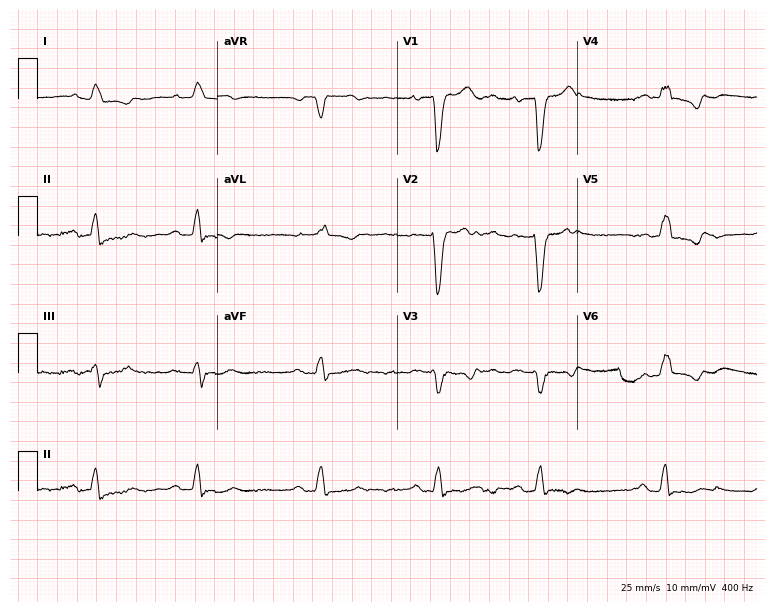
Electrocardiogram (7.3-second recording at 400 Hz), an 84-year-old male patient. Interpretation includes left bundle branch block.